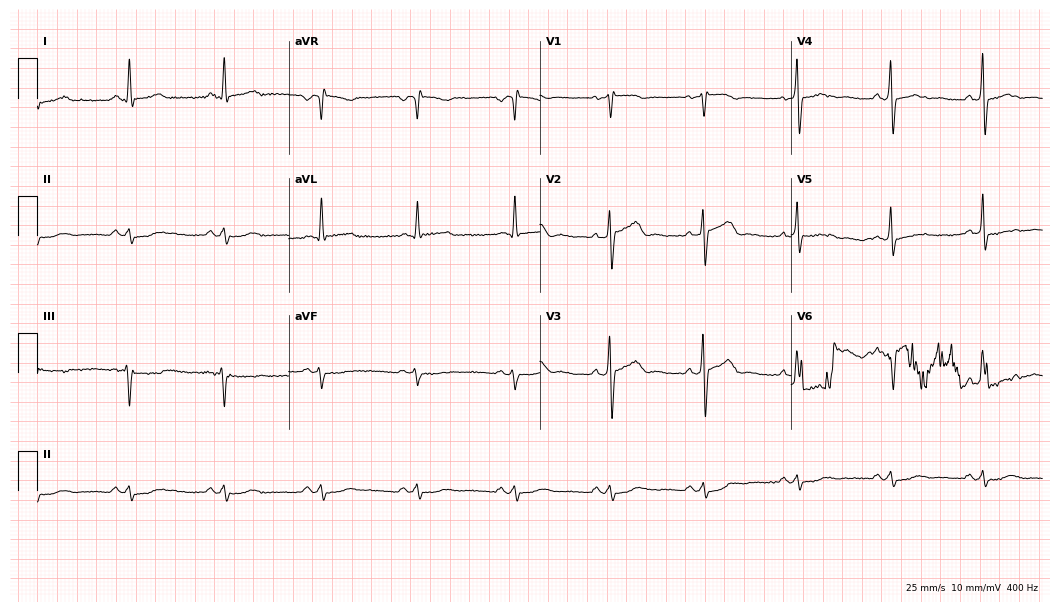
Electrocardiogram (10.2-second recording at 400 Hz), a 66-year-old male. Of the six screened findings (first-degree AV block, right bundle branch block (RBBB), left bundle branch block (LBBB), sinus bradycardia, atrial fibrillation (AF), sinus tachycardia), none is recorded. Other findings, if any, are not listed.